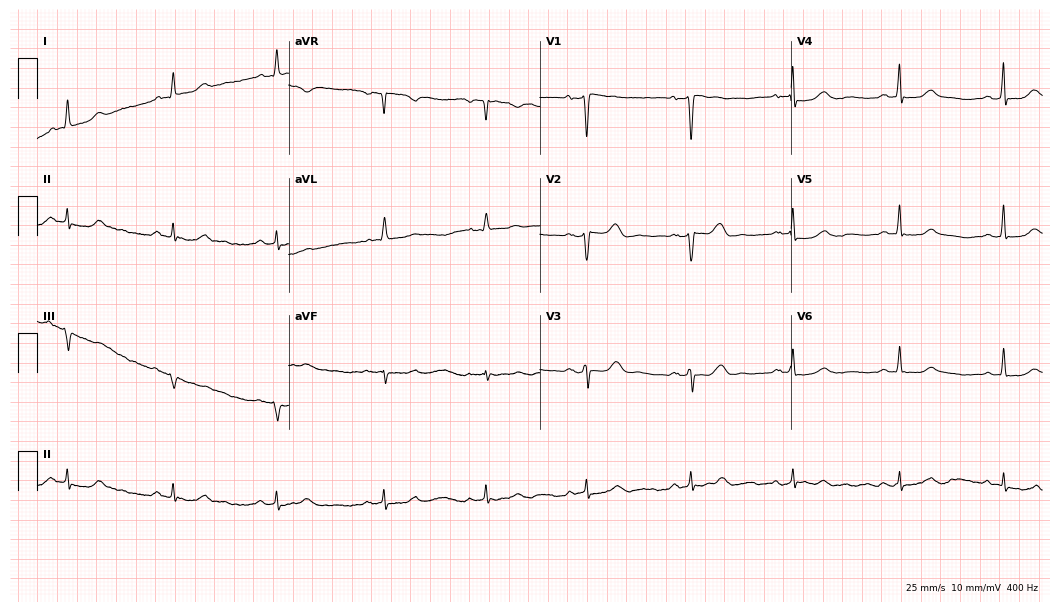
Resting 12-lead electrocardiogram (10.2-second recording at 400 Hz). Patient: a female, 62 years old. None of these six findings is recorded: first-degree AV block, right bundle branch block, left bundle branch block, sinus bradycardia, atrial fibrillation, sinus tachycardia.